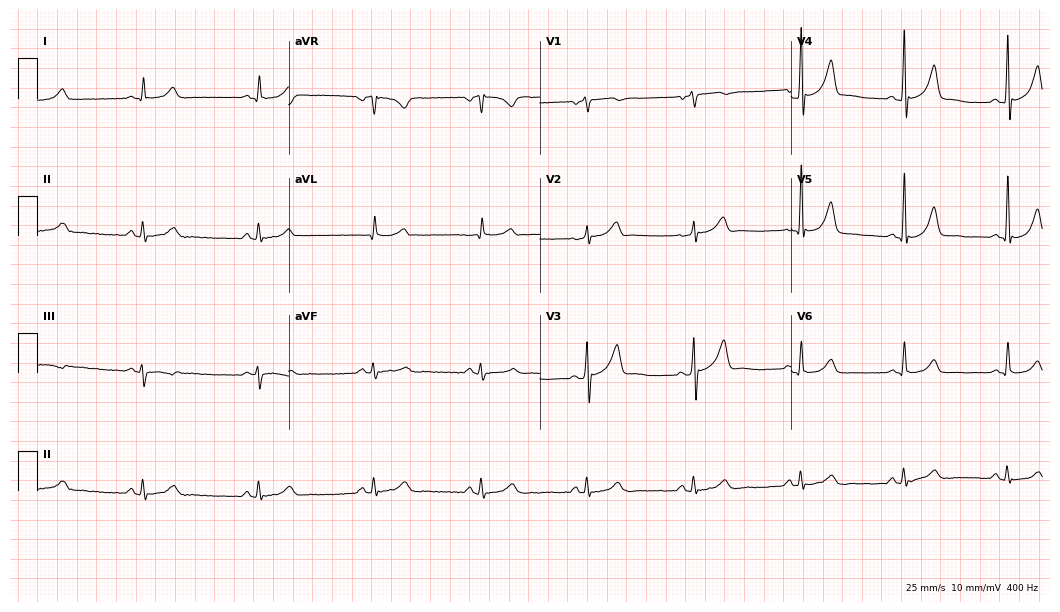
12-lead ECG from a 57-year-old male. Recorded interpretation: within normal limits.